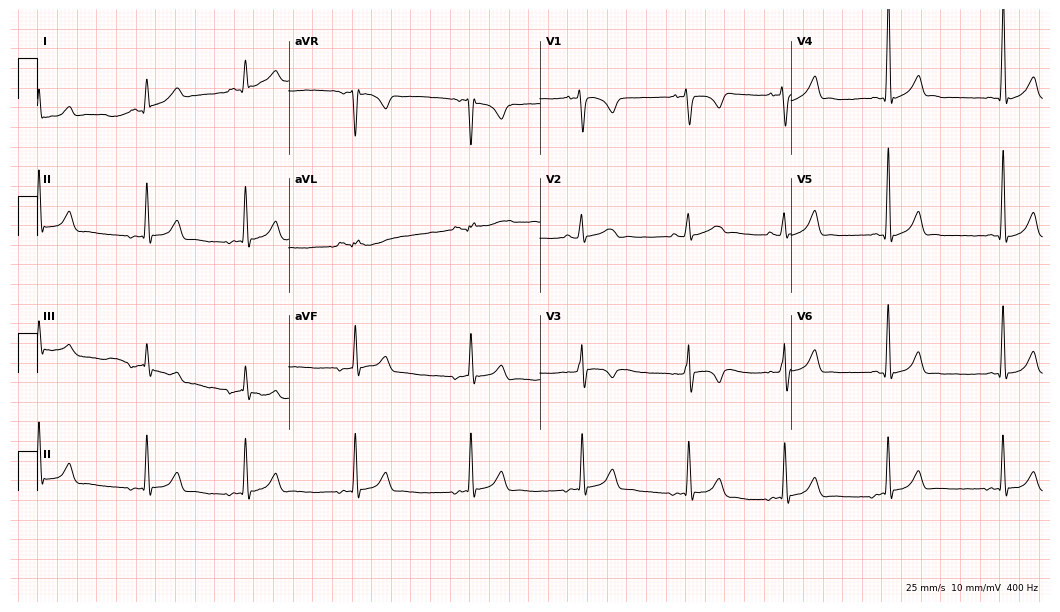
12-lead ECG from a 19-year-old man (10.2-second recording at 400 Hz). Recorded interpretation: within normal limits.